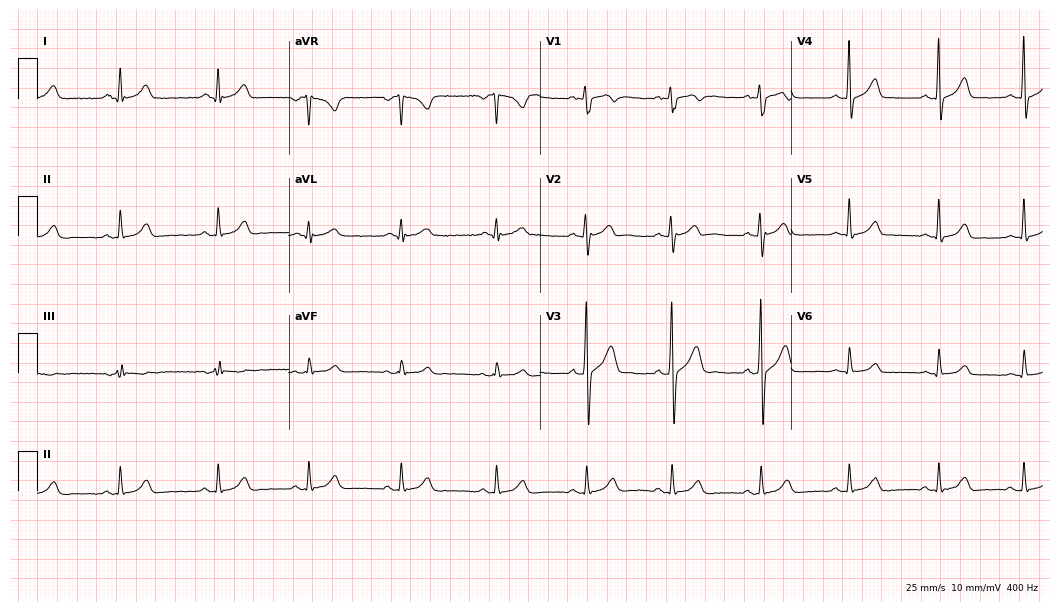
Standard 12-lead ECG recorded from a male patient, 25 years old (10.2-second recording at 400 Hz). Read as a normal ECG.